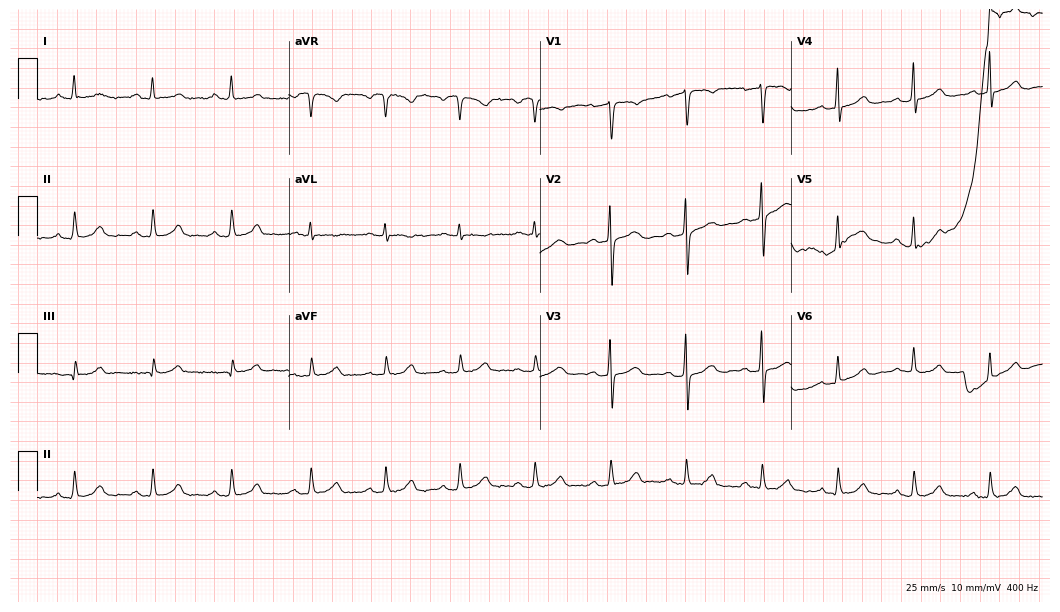
Electrocardiogram (10.2-second recording at 400 Hz), a 53-year-old female patient. Overall reading on record: normal ECG.